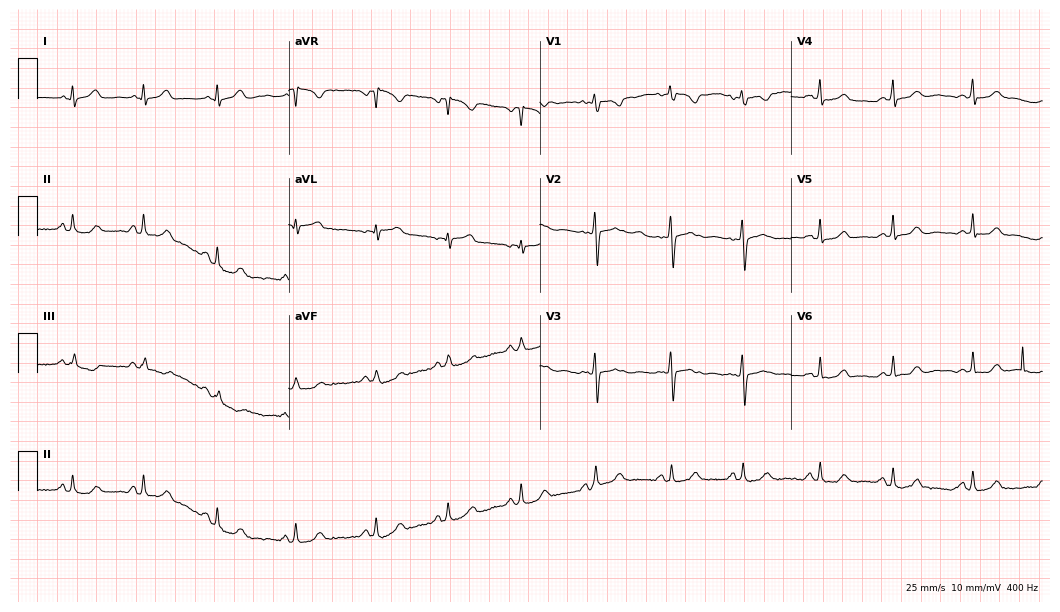
Standard 12-lead ECG recorded from a female patient, 22 years old (10.2-second recording at 400 Hz). Read as a normal ECG.